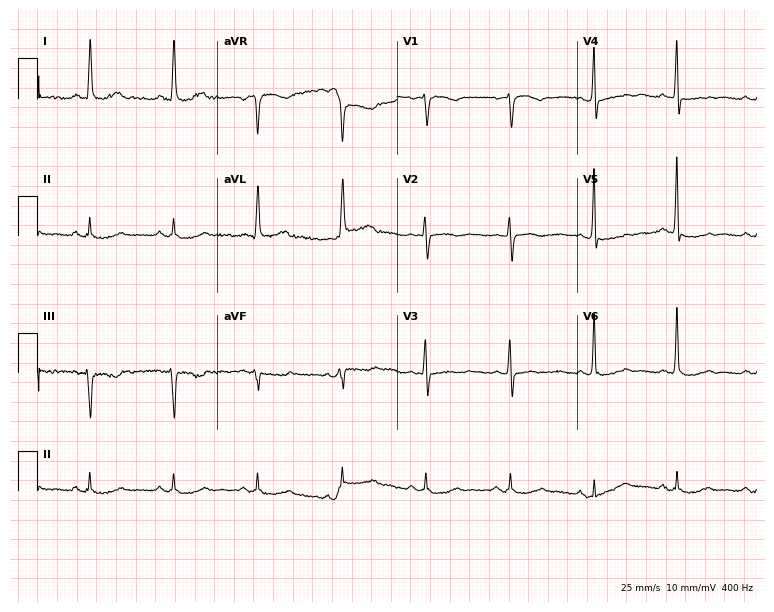
Resting 12-lead electrocardiogram (7.3-second recording at 400 Hz). Patient: a 54-year-old female. None of these six findings is recorded: first-degree AV block, right bundle branch block, left bundle branch block, sinus bradycardia, atrial fibrillation, sinus tachycardia.